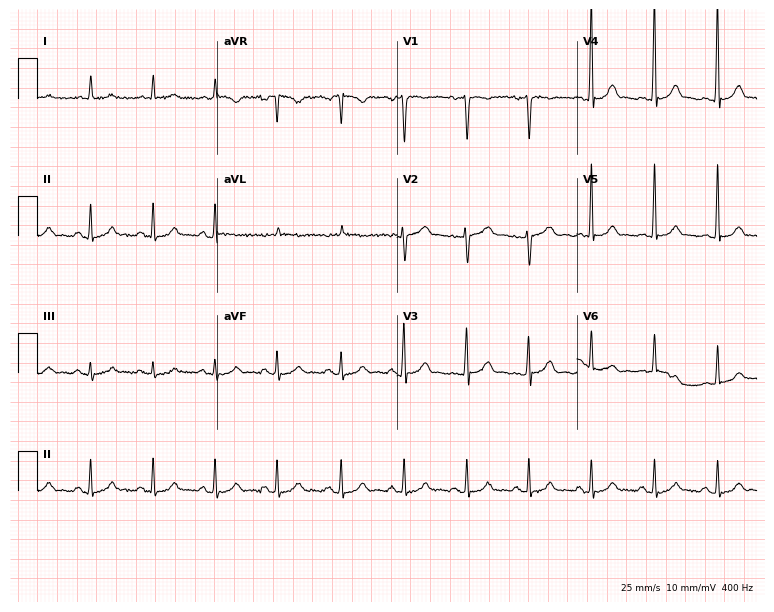
ECG — a male patient, 57 years old. Labelled as a normal ECG.